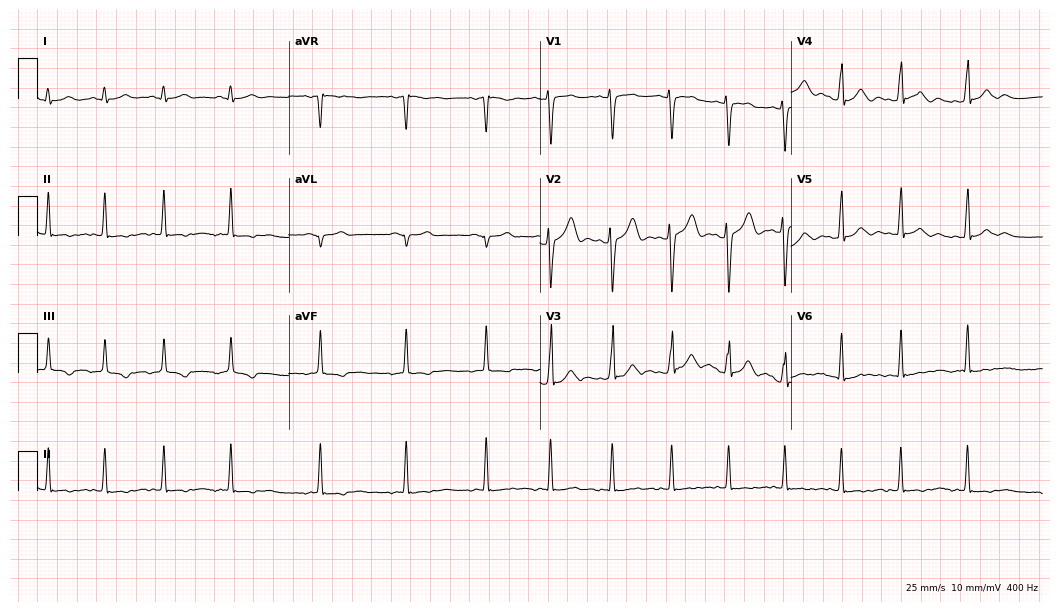
Resting 12-lead electrocardiogram. Patient: a man, 25 years old. None of these six findings is recorded: first-degree AV block, right bundle branch block (RBBB), left bundle branch block (LBBB), sinus bradycardia, atrial fibrillation (AF), sinus tachycardia. Findings outside these six are not listed.